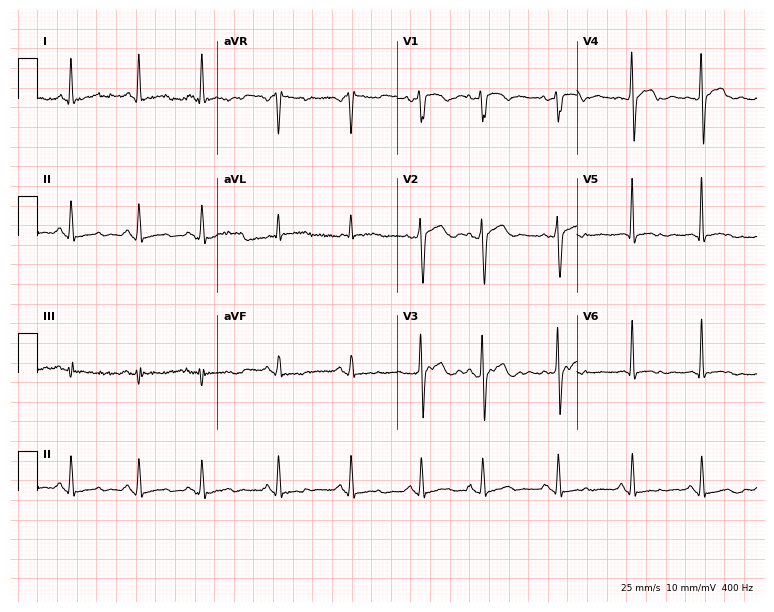
ECG — a man, 72 years old. Screened for six findings — first-degree AV block, right bundle branch block, left bundle branch block, sinus bradycardia, atrial fibrillation, sinus tachycardia — none is recorded. Only these six findings were labelled.